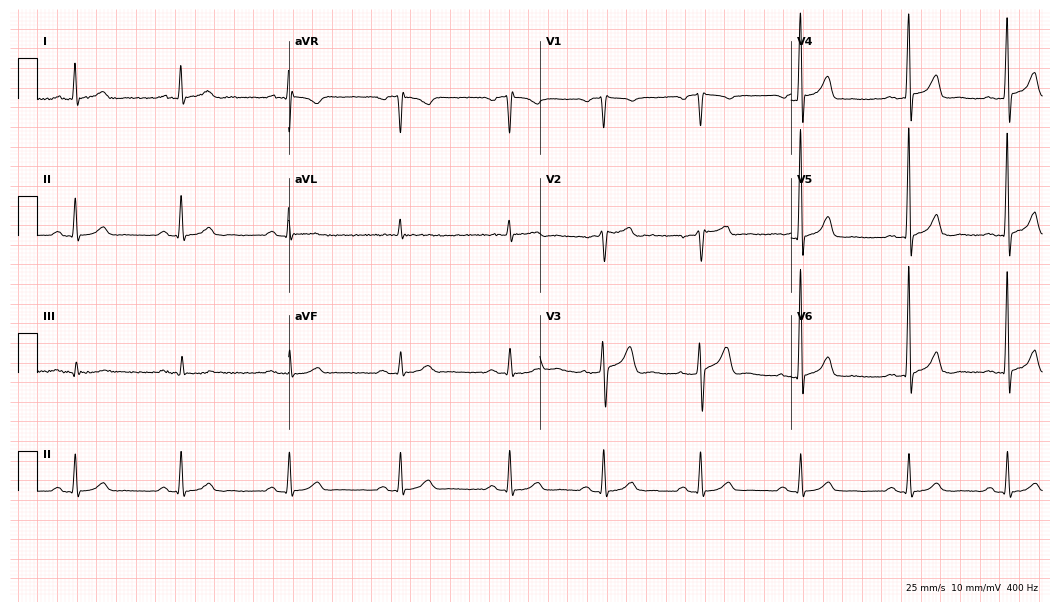
Resting 12-lead electrocardiogram. Patient: a man, 62 years old. None of these six findings is recorded: first-degree AV block, right bundle branch block (RBBB), left bundle branch block (LBBB), sinus bradycardia, atrial fibrillation (AF), sinus tachycardia. Only these six findings were labelled.